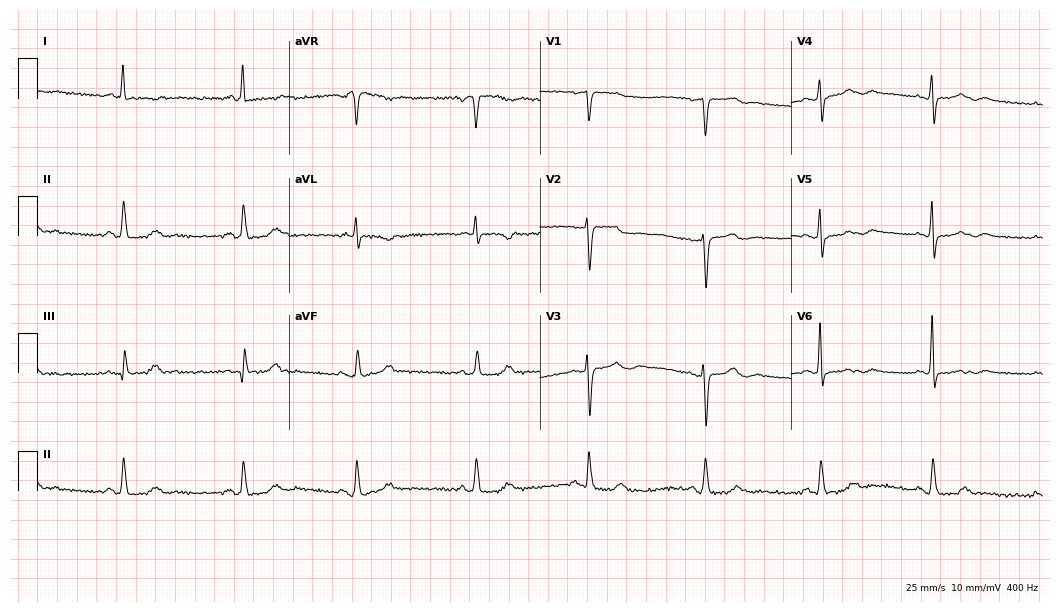
Electrocardiogram (10.2-second recording at 400 Hz), an 82-year-old female patient. Interpretation includes sinus bradycardia (a sinus rate of 50 beats per minute or less).